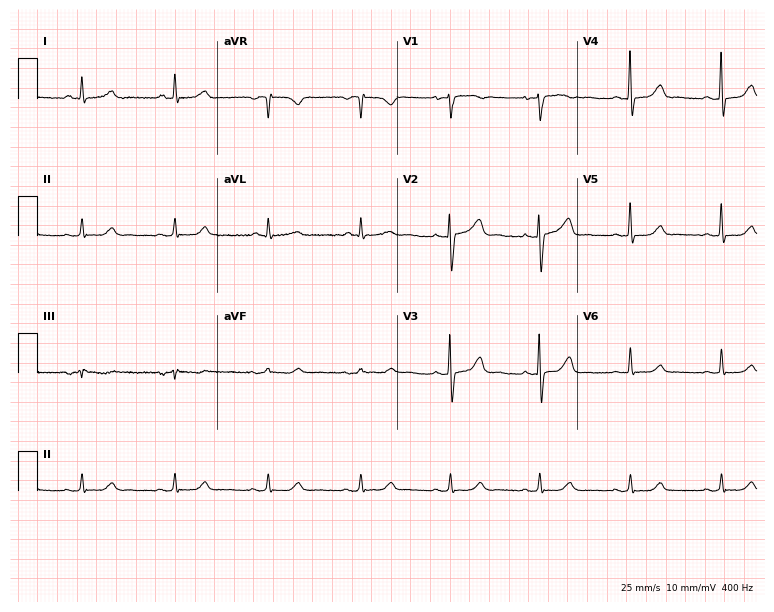
ECG — a female patient, 66 years old. Labelled as a normal ECG.